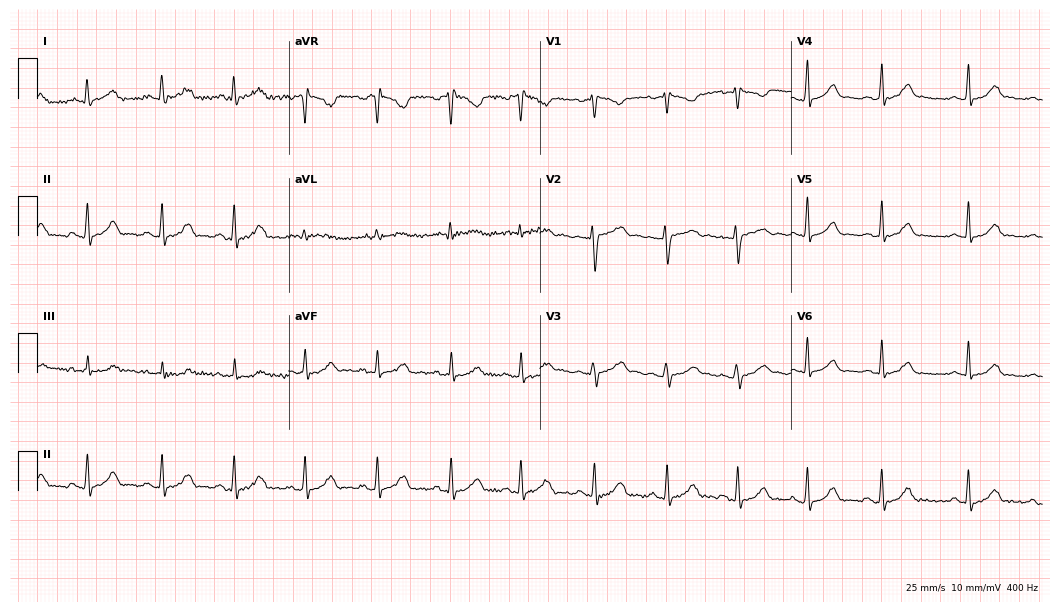
Standard 12-lead ECG recorded from a female, 37 years old. None of these six findings is recorded: first-degree AV block, right bundle branch block (RBBB), left bundle branch block (LBBB), sinus bradycardia, atrial fibrillation (AF), sinus tachycardia.